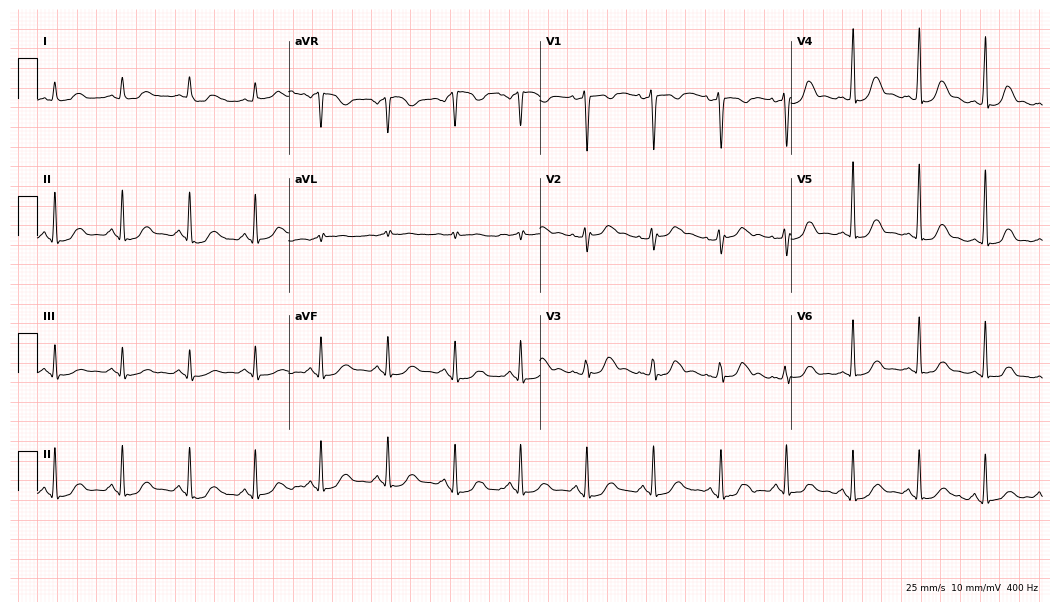
ECG — a female patient, 48 years old. Labelled as a normal ECG.